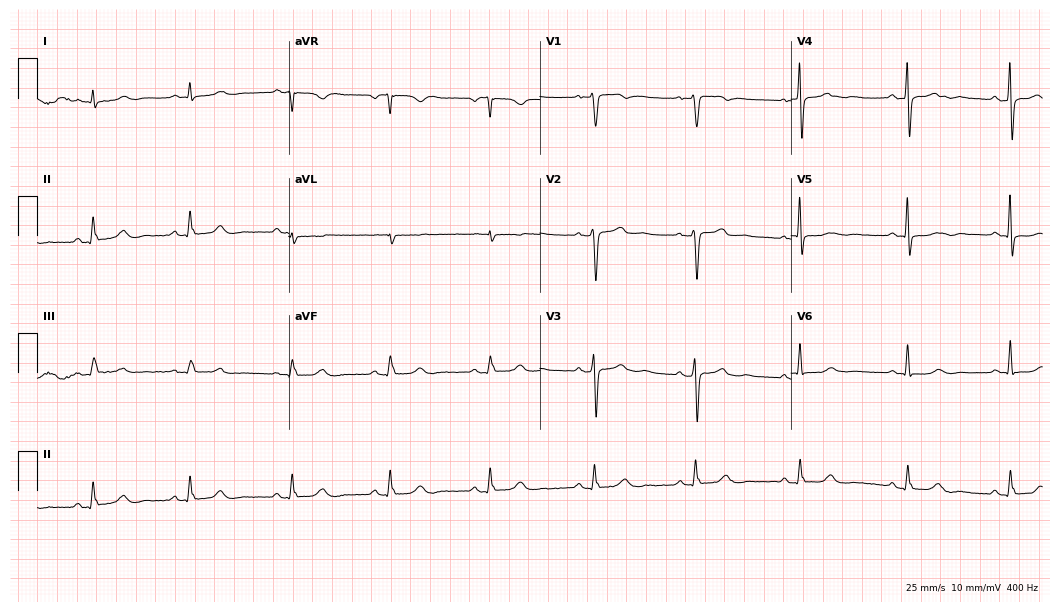
12-lead ECG (10.2-second recording at 400 Hz) from a 58-year-old female patient. Labelled as a normal ECG.